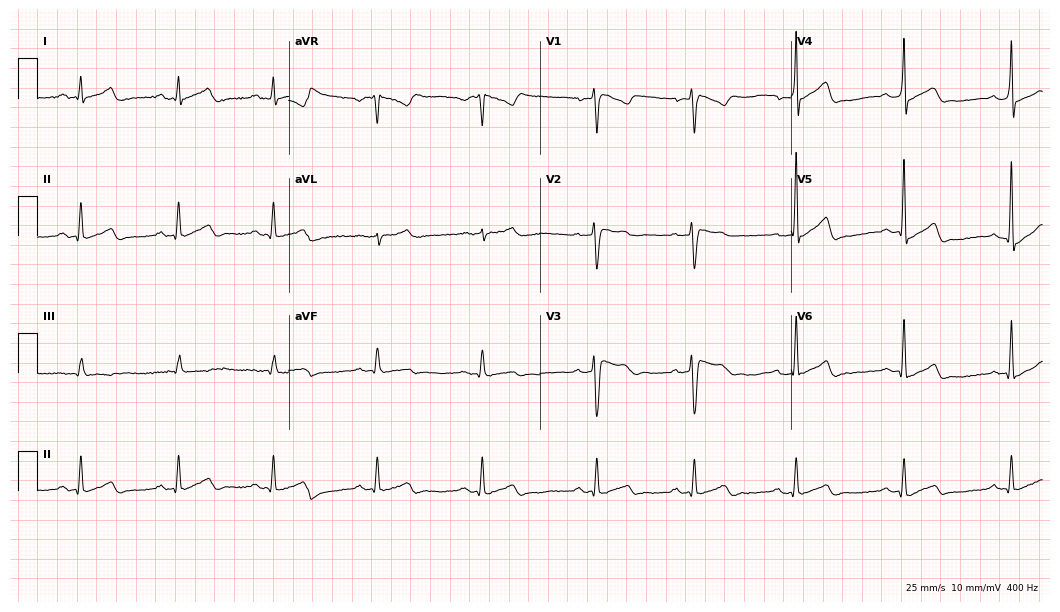
Standard 12-lead ECG recorded from a male patient, 36 years old (10.2-second recording at 400 Hz). None of these six findings is recorded: first-degree AV block, right bundle branch block (RBBB), left bundle branch block (LBBB), sinus bradycardia, atrial fibrillation (AF), sinus tachycardia.